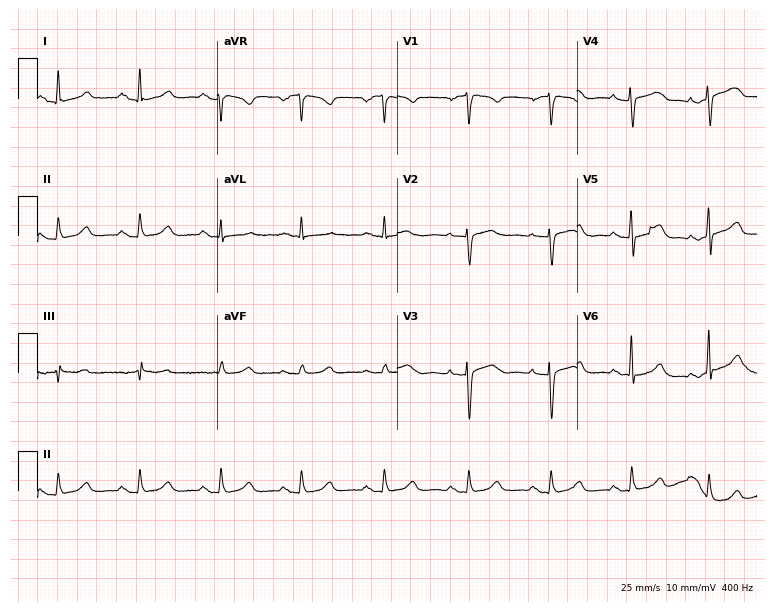
12-lead ECG (7.3-second recording at 400 Hz) from a female patient, 53 years old. Labelled as a normal ECG.